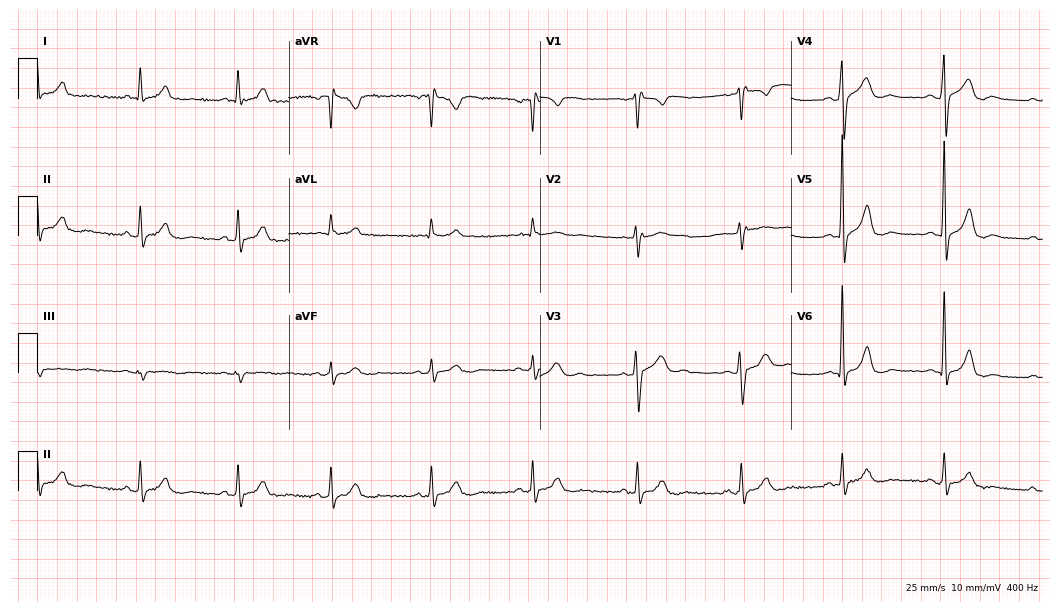
Standard 12-lead ECG recorded from a 59-year-old man. None of these six findings is recorded: first-degree AV block, right bundle branch block, left bundle branch block, sinus bradycardia, atrial fibrillation, sinus tachycardia.